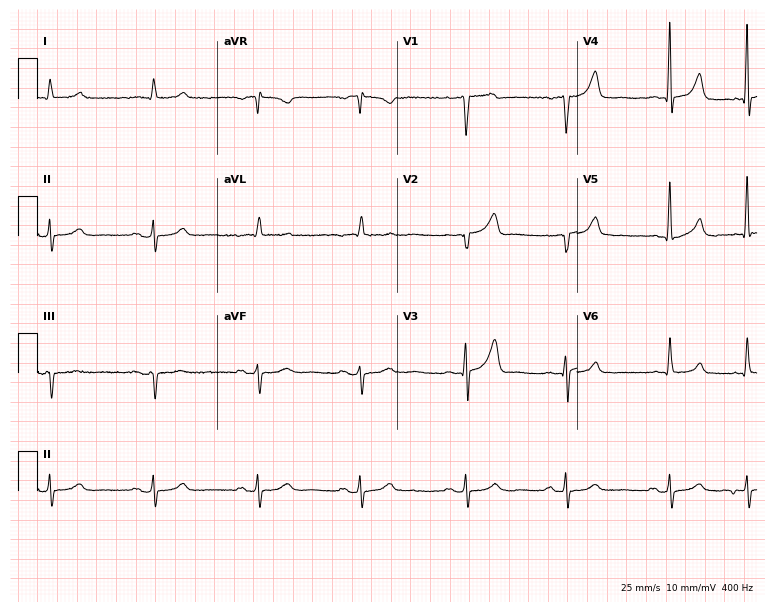
12-lead ECG (7.3-second recording at 400 Hz) from a 79-year-old man. Labelled as a normal ECG.